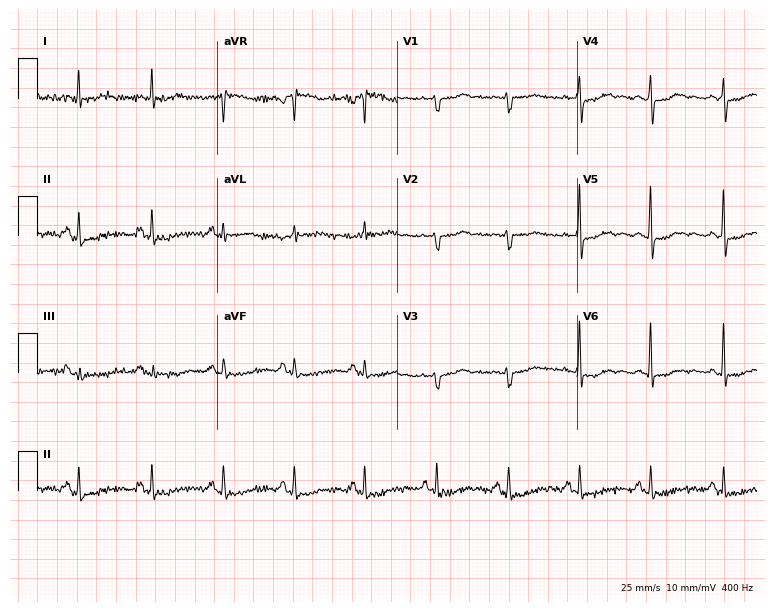
Standard 12-lead ECG recorded from a woman, 73 years old (7.3-second recording at 400 Hz). None of these six findings is recorded: first-degree AV block, right bundle branch block (RBBB), left bundle branch block (LBBB), sinus bradycardia, atrial fibrillation (AF), sinus tachycardia.